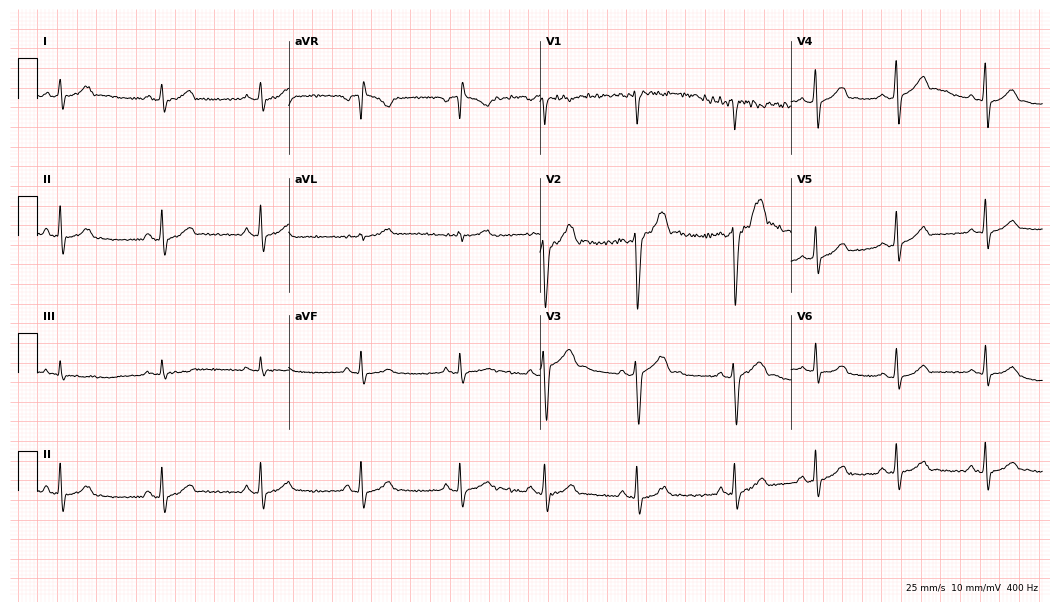
Standard 12-lead ECG recorded from a 17-year-old man. Read as a normal ECG.